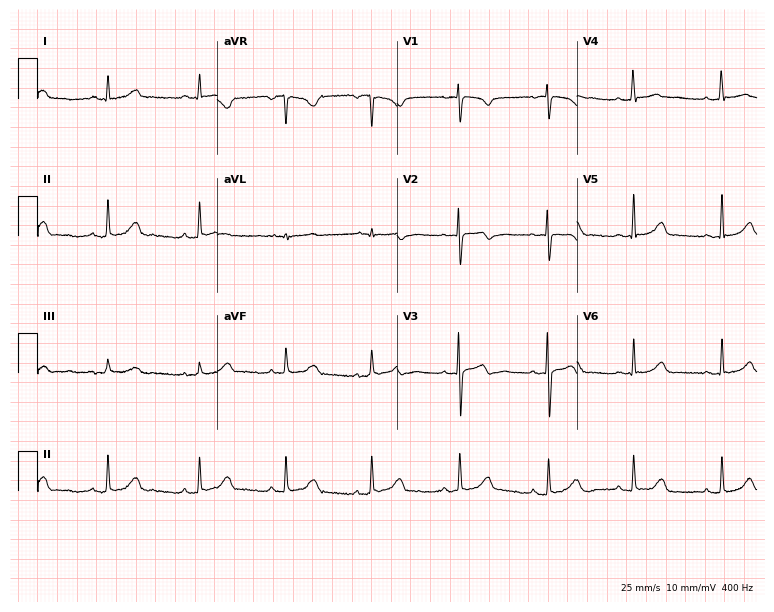
Standard 12-lead ECG recorded from a 22-year-old woman. Read as a normal ECG.